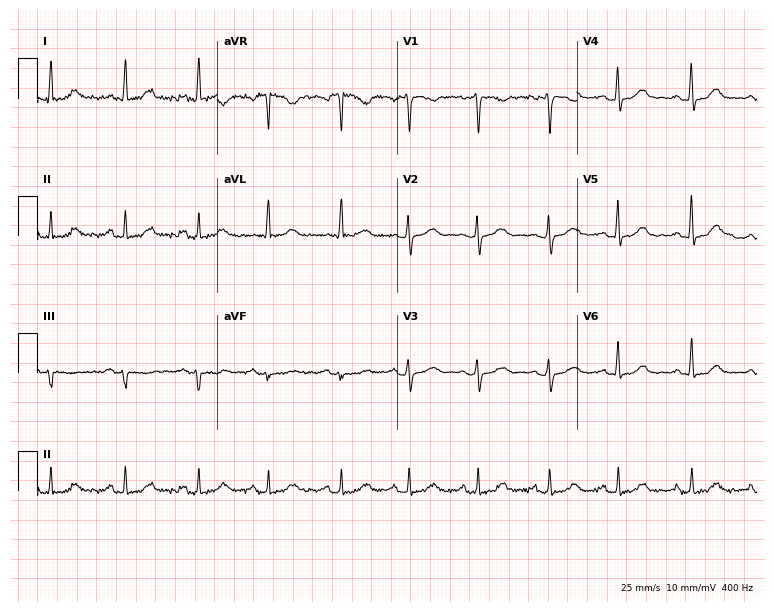
Standard 12-lead ECG recorded from a 52-year-old woman. Read as a normal ECG.